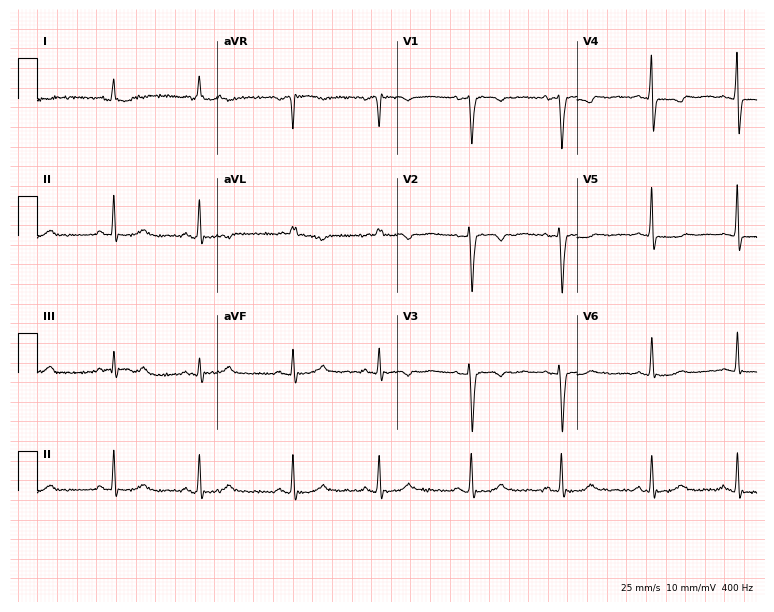
Resting 12-lead electrocardiogram. Patient: a 74-year-old female. None of these six findings is recorded: first-degree AV block, right bundle branch block, left bundle branch block, sinus bradycardia, atrial fibrillation, sinus tachycardia. Only these six findings were labelled.